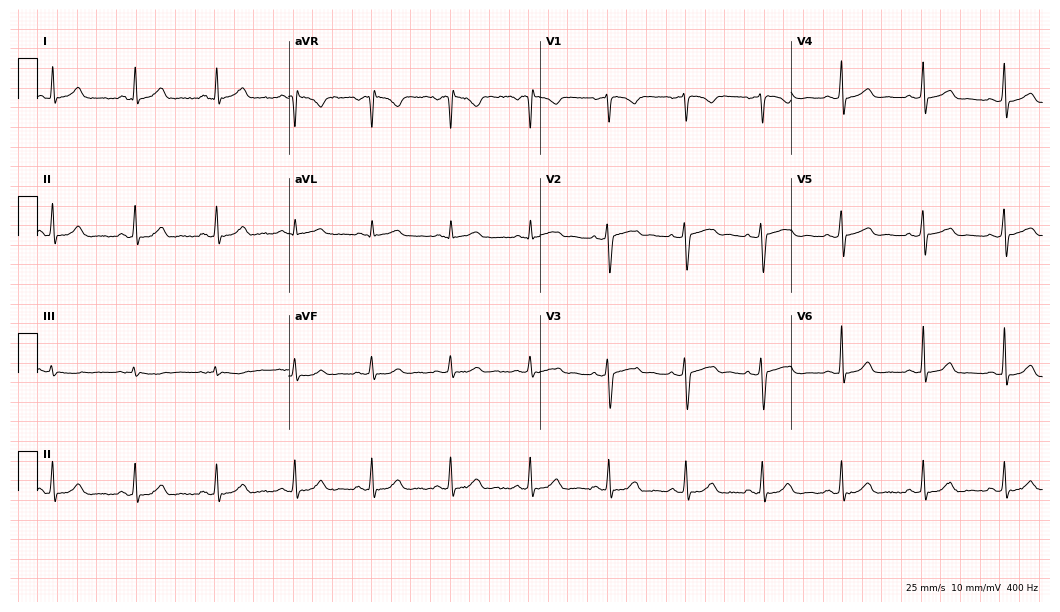
ECG — a 40-year-old woman. Labelled as a normal ECG.